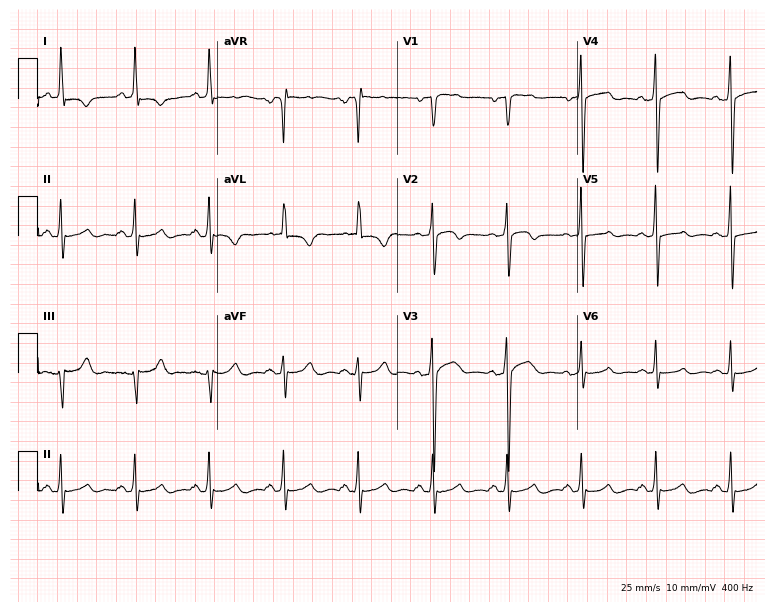
Resting 12-lead electrocardiogram. Patient: a 55-year-old male. None of these six findings is recorded: first-degree AV block, right bundle branch block, left bundle branch block, sinus bradycardia, atrial fibrillation, sinus tachycardia. Findings outside these six are not listed.